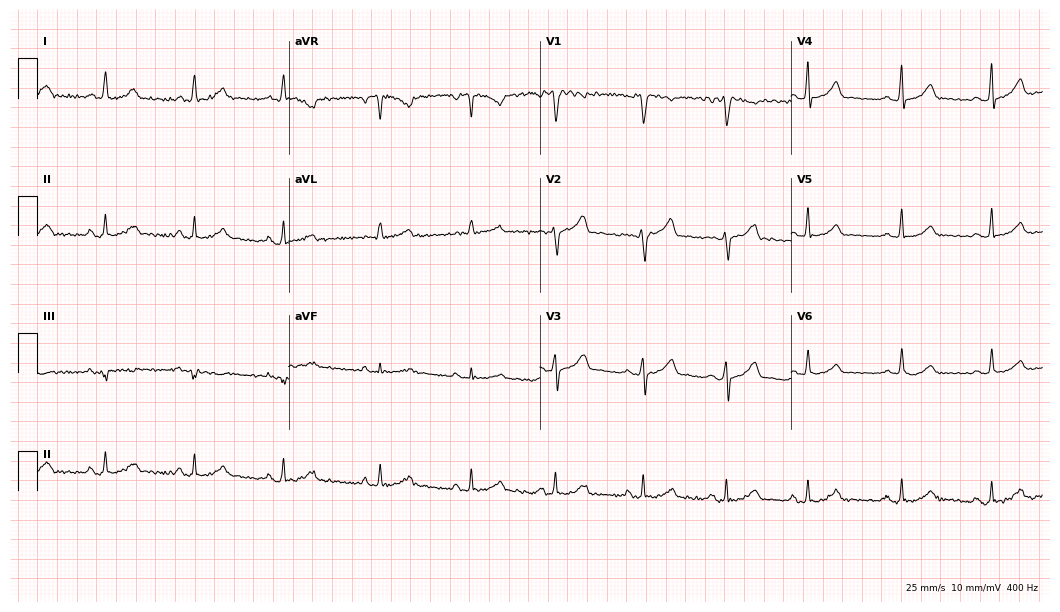
ECG — a 37-year-old woman. Screened for six findings — first-degree AV block, right bundle branch block (RBBB), left bundle branch block (LBBB), sinus bradycardia, atrial fibrillation (AF), sinus tachycardia — none is recorded. Findings outside these six are not listed.